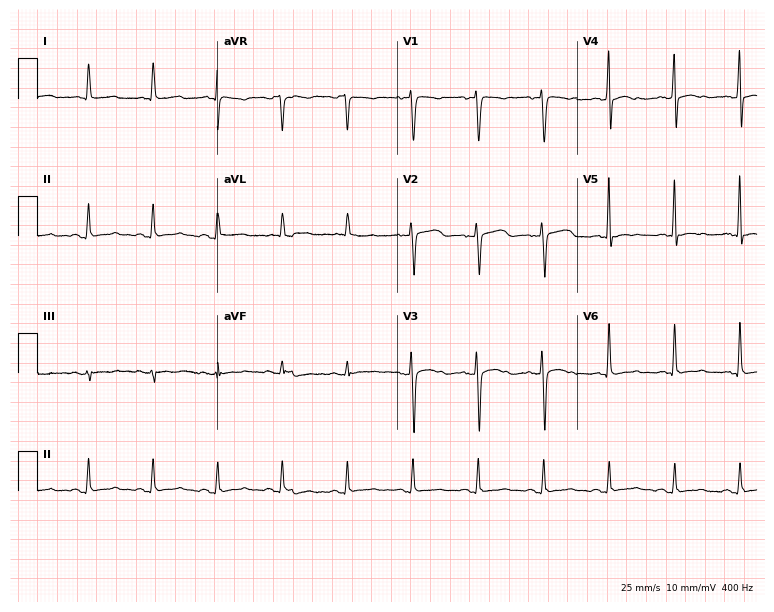
Resting 12-lead electrocardiogram (7.3-second recording at 400 Hz). Patient: a 58-year-old female. None of these six findings is recorded: first-degree AV block, right bundle branch block, left bundle branch block, sinus bradycardia, atrial fibrillation, sinus tachycardia. Findings outside these six are not listed.